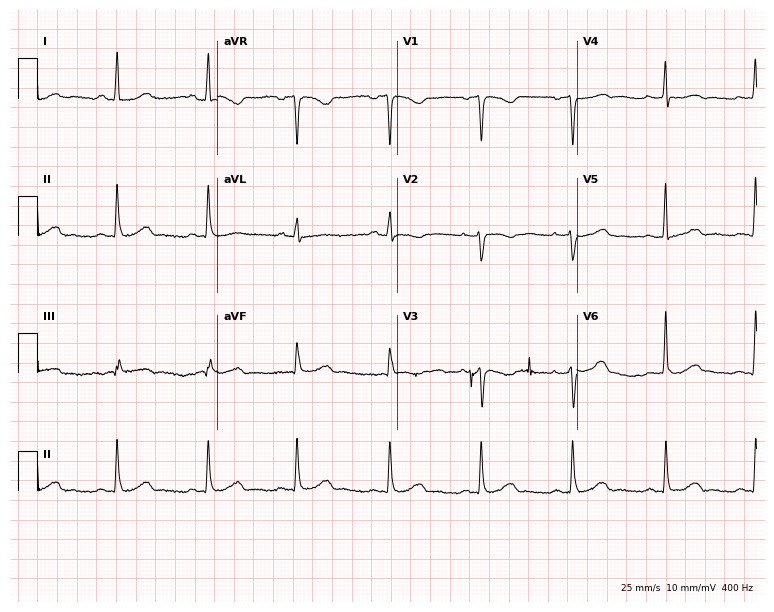
Electrocardiogram (7.3-second recording at 400 Hz), a woman, 42 years old. Of the six screened findings (first-degree AV block, right bundle branch block (RBBB), left bundle branch block (LBBB), sinus bradycardia, atrial fibrillation (AF), sinus tachycardia), none is recorded. Other findings, if any, are not listed.